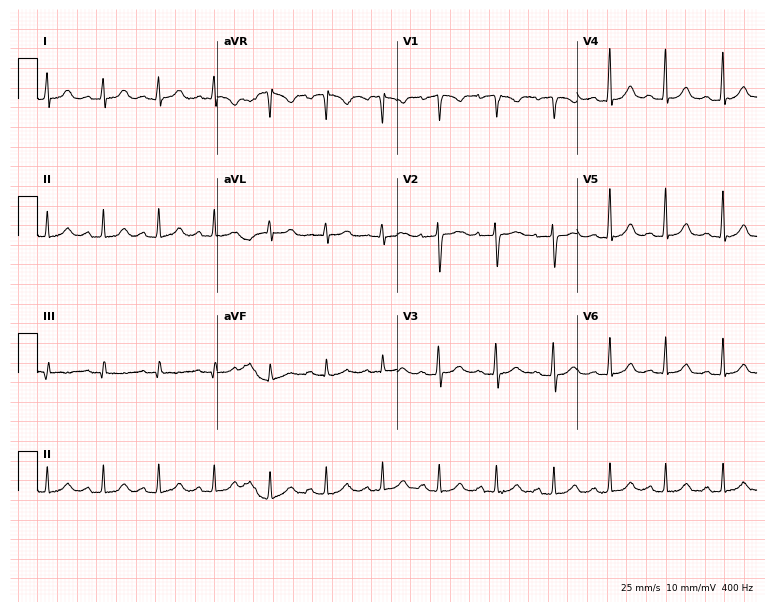
Resting 12-lead electrocardiogram (7.3-second recording at 400 Hz). Patient: a 32-year-old female. The tracing shows sinus tachycardia (a sinus rate of 100 beats per minute or more).